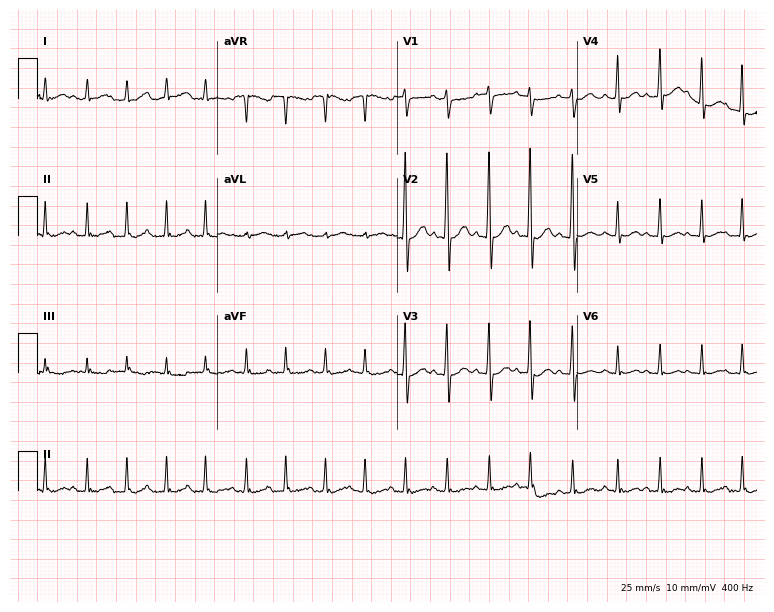
Resting 12-lead electrocardiogram (7.3-second recording at 400 Hz). Patient: a male, 67 years old. The tracing shows sinus tachycardia (a sinus rate of 100 beats per minute or more).